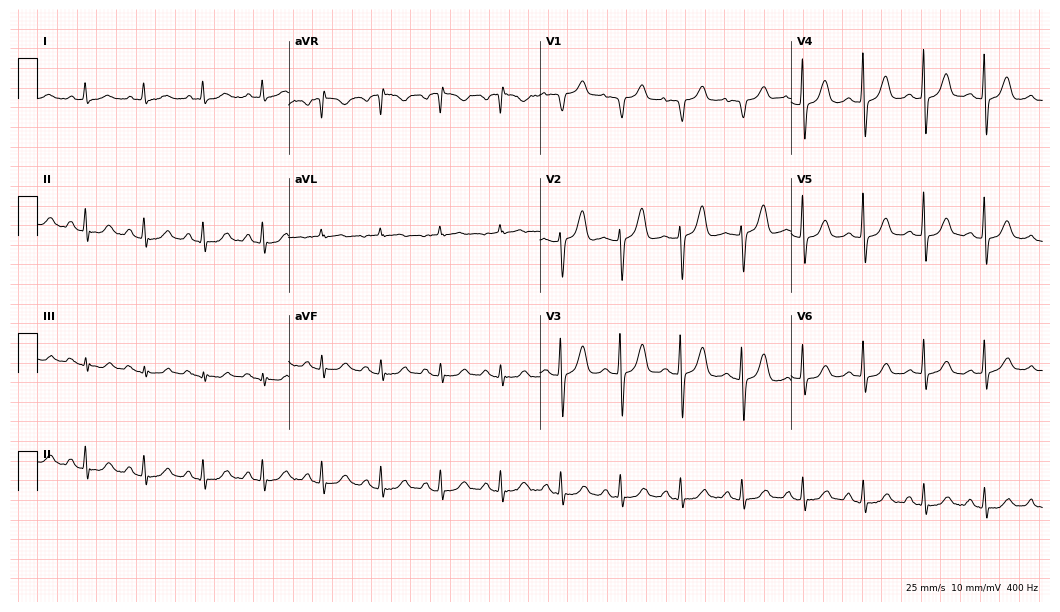
12-lead ECG (10.2-second recording at 400 Hz) from a woman, 75 years old. Labelled as a normal ECG.